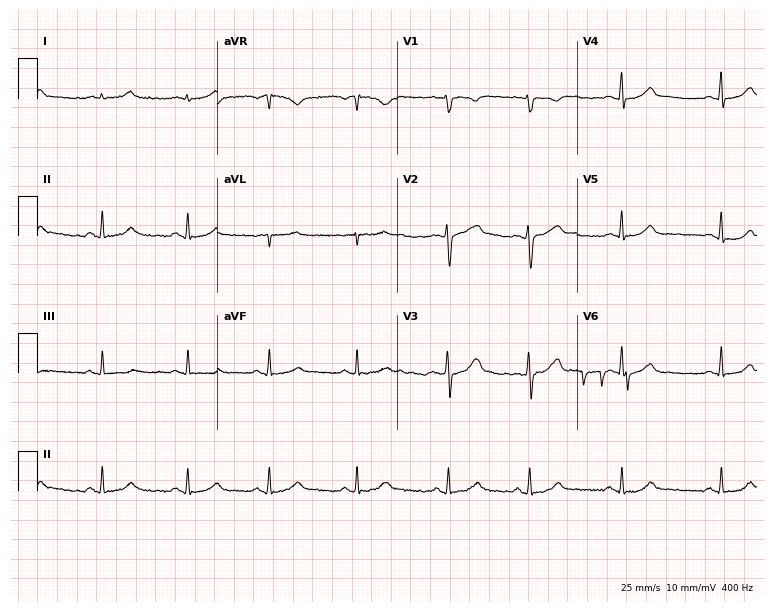
ECG — a female patient, 24 years old. Labelled as a normal ECG.